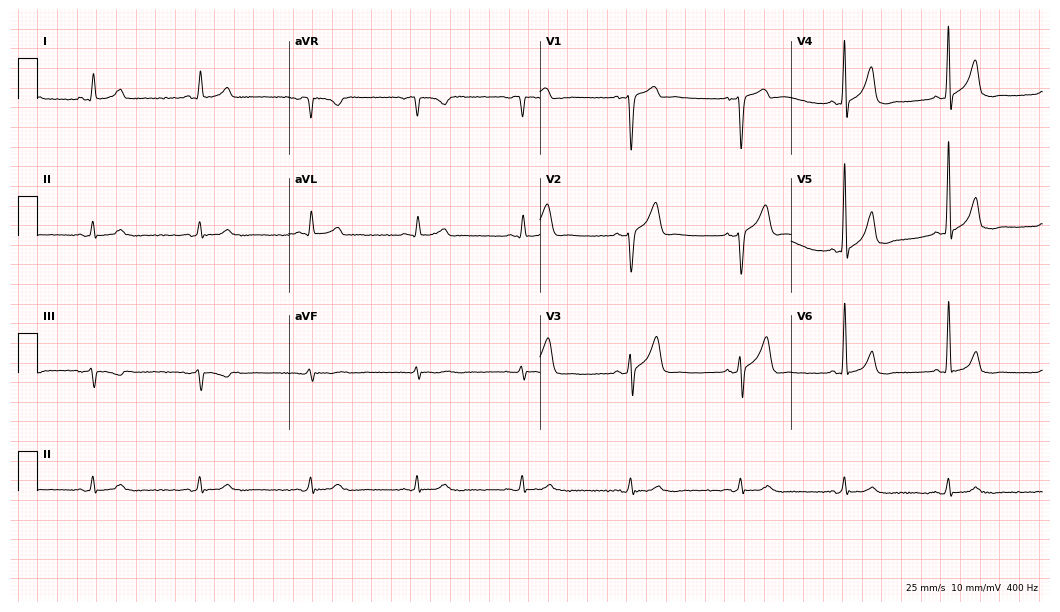
12-lead ECG from a 57-year-old male patient (10.2-second recording at 400 Hz). Recorded interpretation: within normal limits.